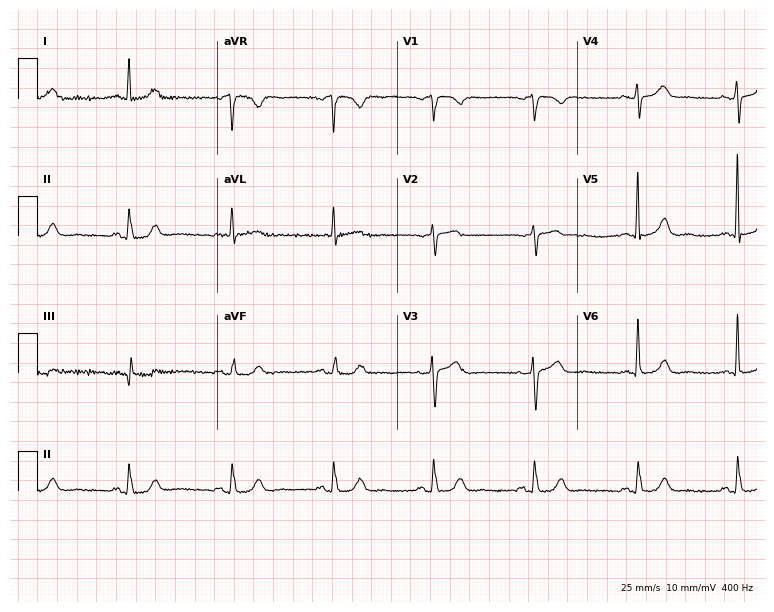
12-lead ECG (7.3-second recording at 400 Hz) from an 80-year-old female. Labelled as a normal ECG.